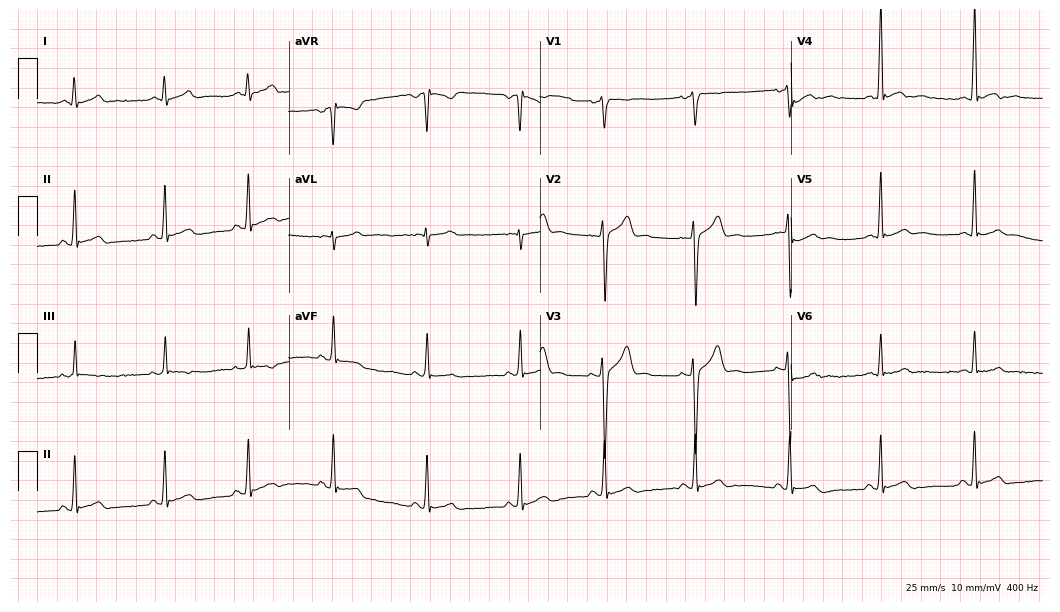
Resting 12-lead electrocardiogram. Patient: a 17-year-old male. Read as a normal ECG.